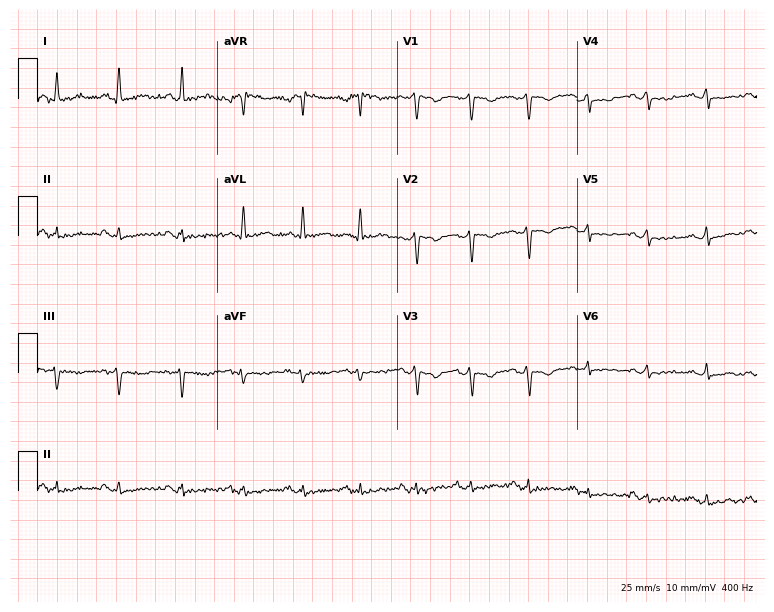
12-lead ECG from a female patient, 47 years old. No first-degree AV block, right bundle branch block, left bundle branch block, sinus bradycardia, atrial fibrillation or sinus tachycardia recorded for this tracing. Only these six findings were labelled.